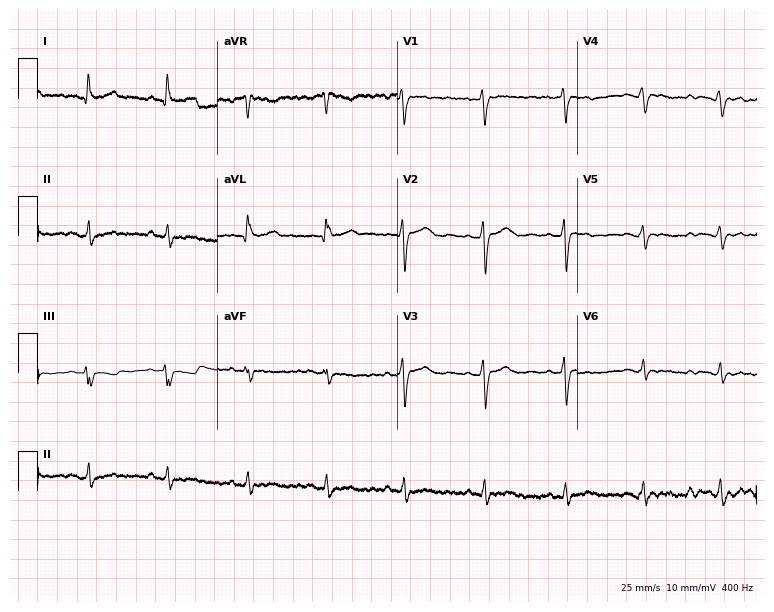
12-lead ECG (7.3-second recording at 400 Hz) from a 39-year-old female patient. Screened for six findings — first-degree AV block, right bundle branch block, left bundle branch block, sinus bradycardia, atrial fibrillation, sinus tachycardia — none is recorded. Only these six findings were labelled.